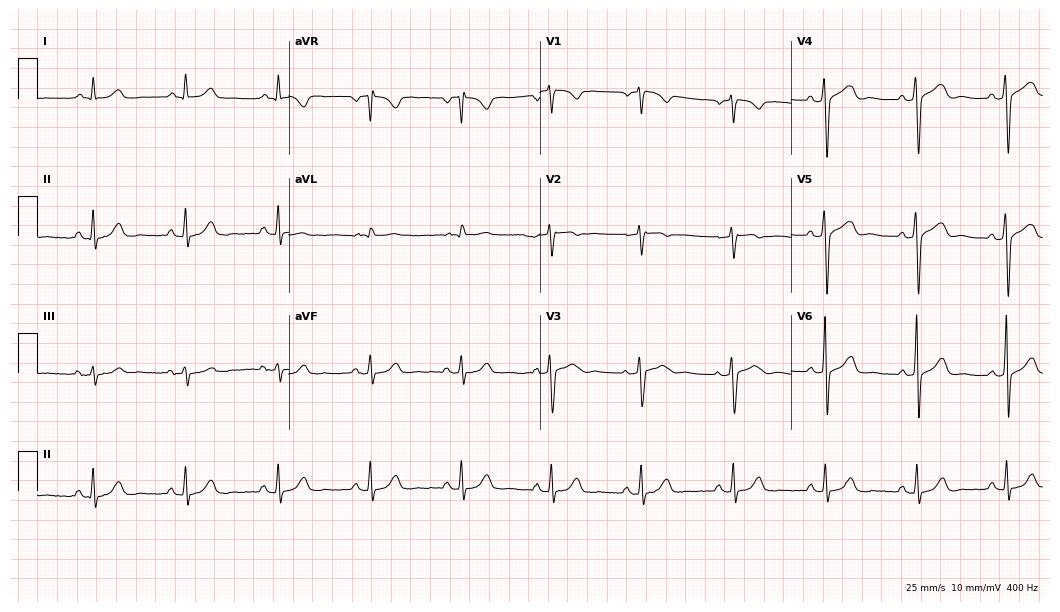
Electrocardiogram (10.2-second recording at 400 Hz), a male patient, 58 years old. Of the six screened findings (first-degree AV block, right bundle branch block (RBBB), left bundle branch block (LBBB), sinus bradycardia, atrial fibrillation (AF), sinus tachycardia), none is recorded. Only these six findings were labelled.